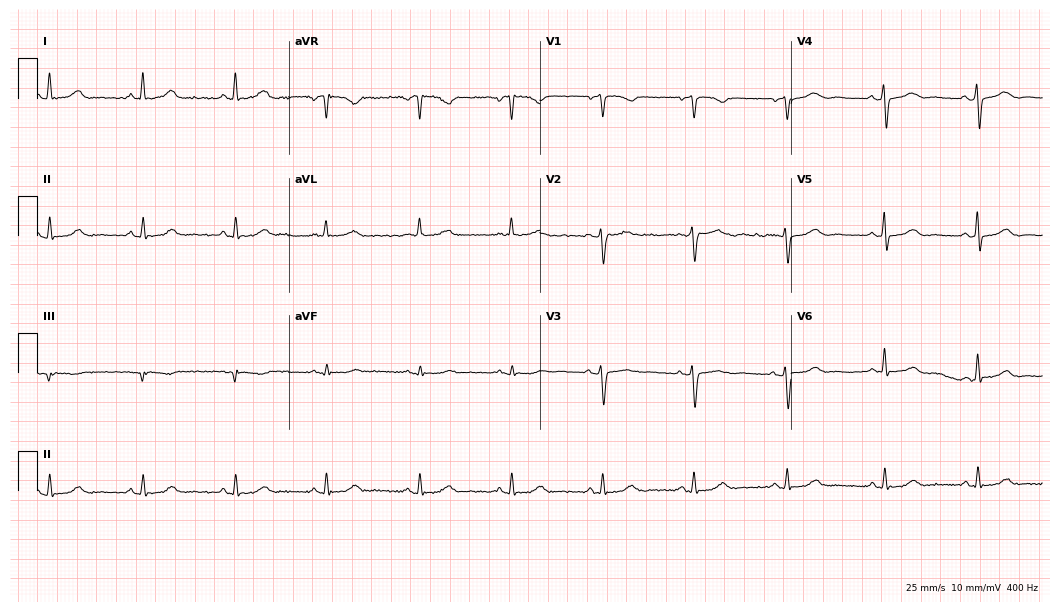
Standard 12-lead ECG recorded from a woman, 58 years old. Read as a normal ECG.